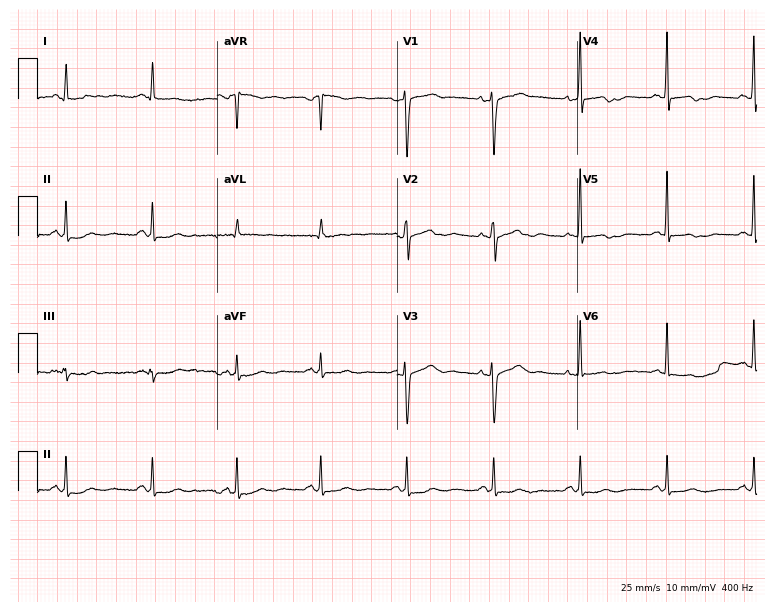
Standard 12-lead ECG recorded from a female patient, 73 years old. None of these six findings is recorded: first-degree AV block, right bundle branch block (RBBB), left bundle branch block (LBBB), sinus bradycardia, atrial fibrillation (AF), sinus tachycardia. Other findings, if any, are not listed.